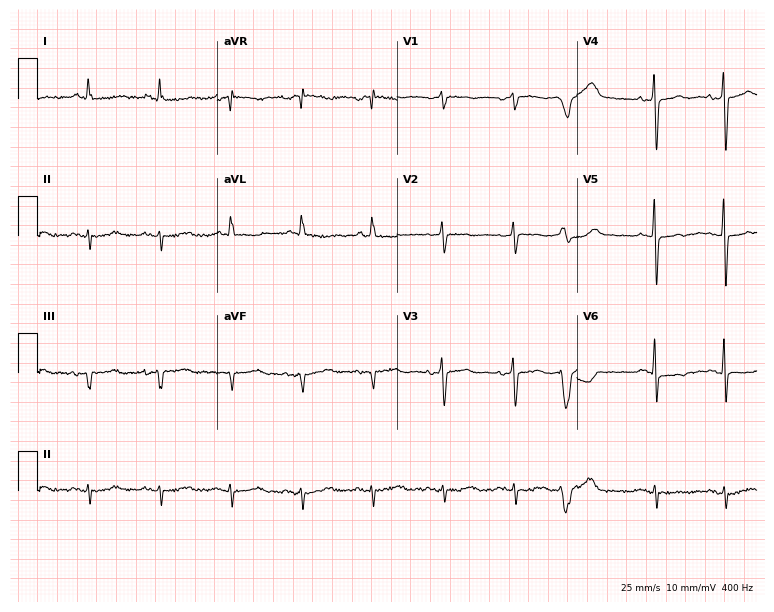
Electrocardiogram (7.3-second recording at 400 Hz), a female patient, 70 years old. Of the six screened findings (first-degree AV block, right bundle branch block (RBBB), left bundle branch block (LBBB), sinus bradycardia, atrial fibrillation (AF), sinus tachycardia), none is recorded.